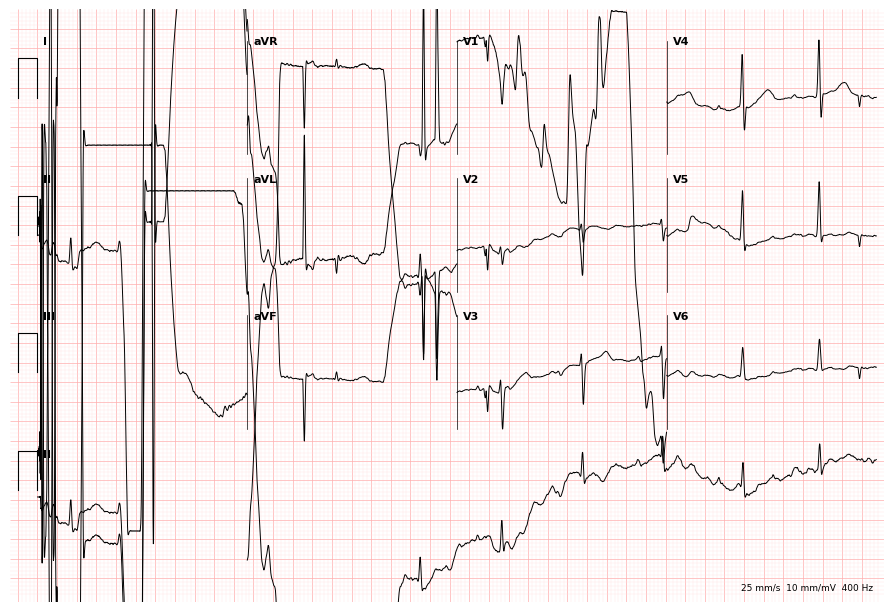
Resting 12-lead electrocardiogram (8.6-second recording at 400 Hz). Patient: a man, 79 years old. None of these six findings is recorded: first-degree AV block, right bundle branch block, left bundle branch block, sinus bradycardia, atrial fibrillation, sinus tachycardia.